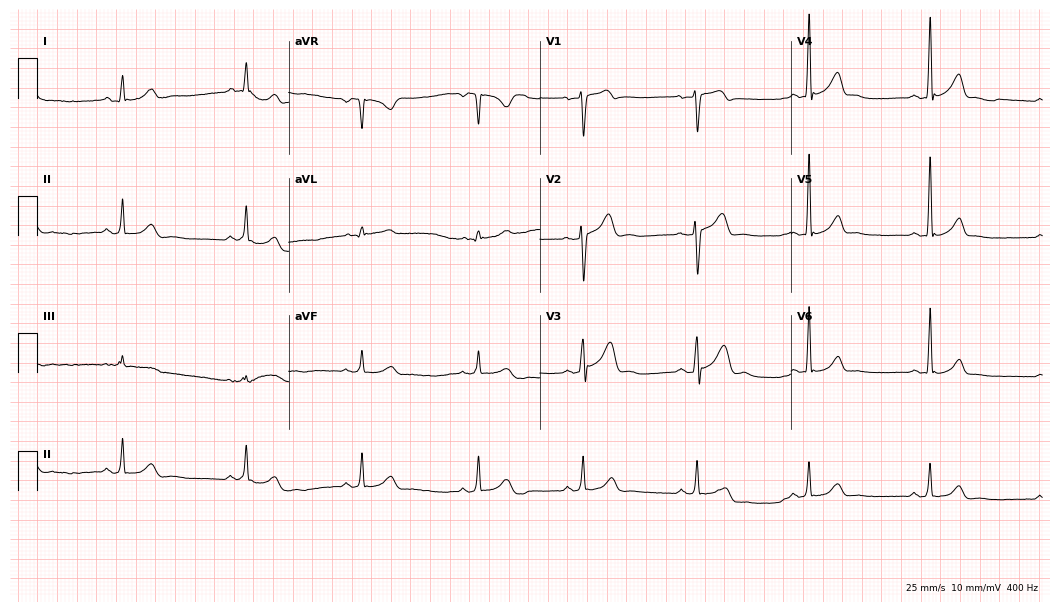
12-lead ECG (10.2-second recording at 400 Hz) from a 36-year-old man. Screened for six findings — first-degree AV block, right bundle branch block, left bundle branch block, sinus bradycardia, atrial fibrillation, sinus tachycardia — none is recorded.